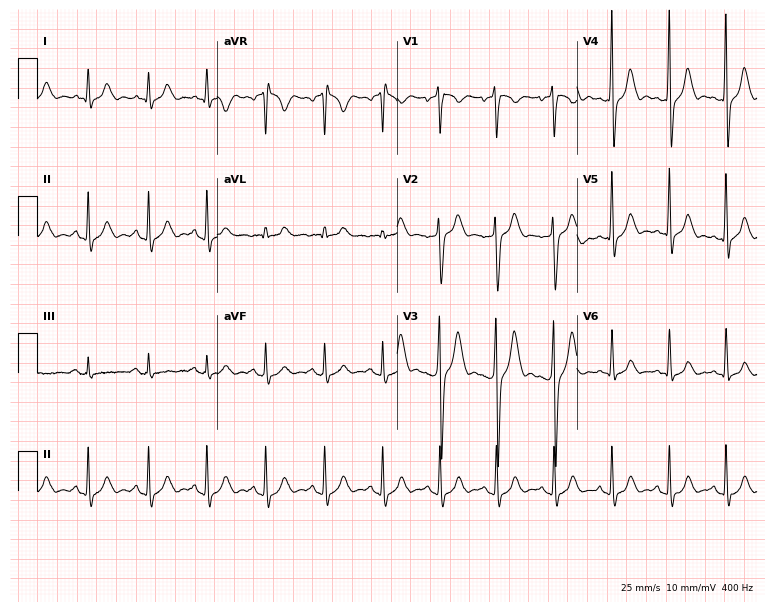
ECG (7.3-second recording at 400 Hz) — a male, 39 years old. Findings include sinus tachycardia (a sinus rate of 100 beats per minute or more).